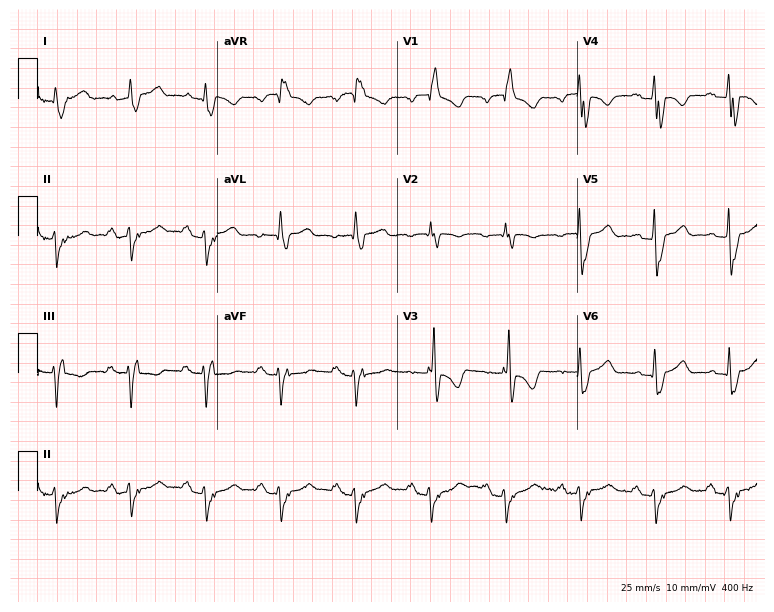
12-lead ECG from a male, 83 years old (7.3-second recording at 400 Hz). Shows right bundle branch block.